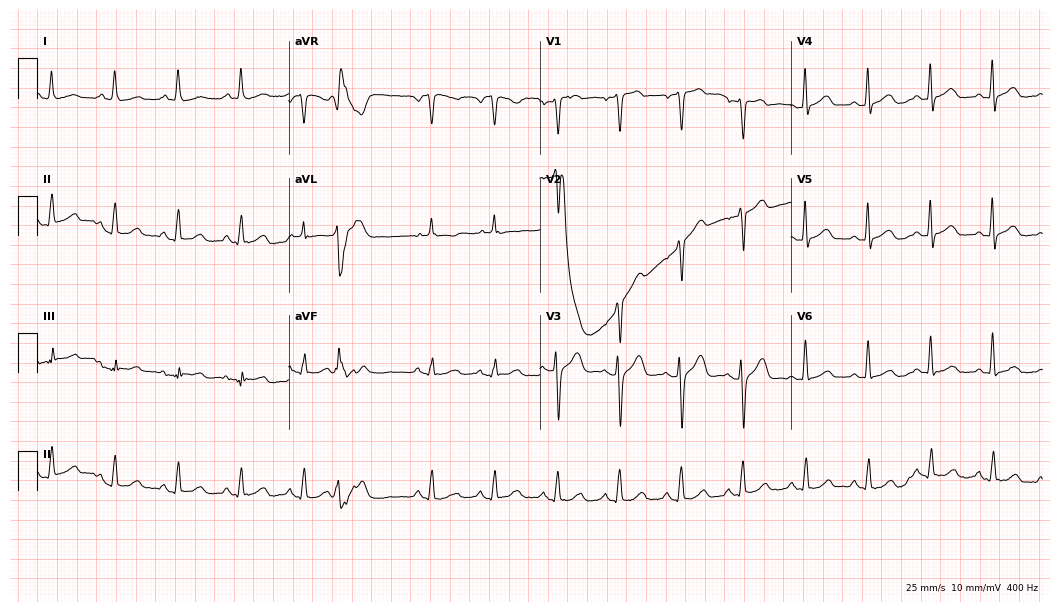
12-lead ECG (10.2-second recording at 400 Hz) from a 64-year-old woman. Labelled as a normal ECG.